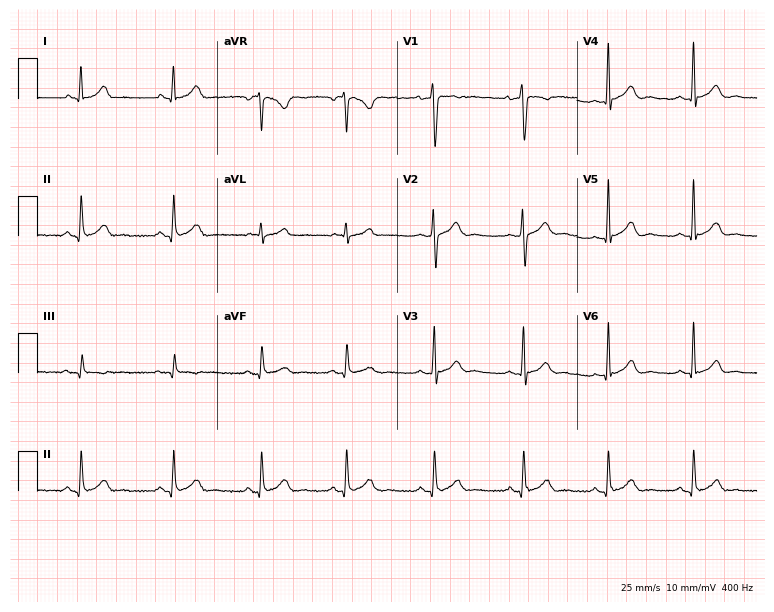
Electrocardiogram, a 22-year-old male. Overall reading on record: normal ECG.